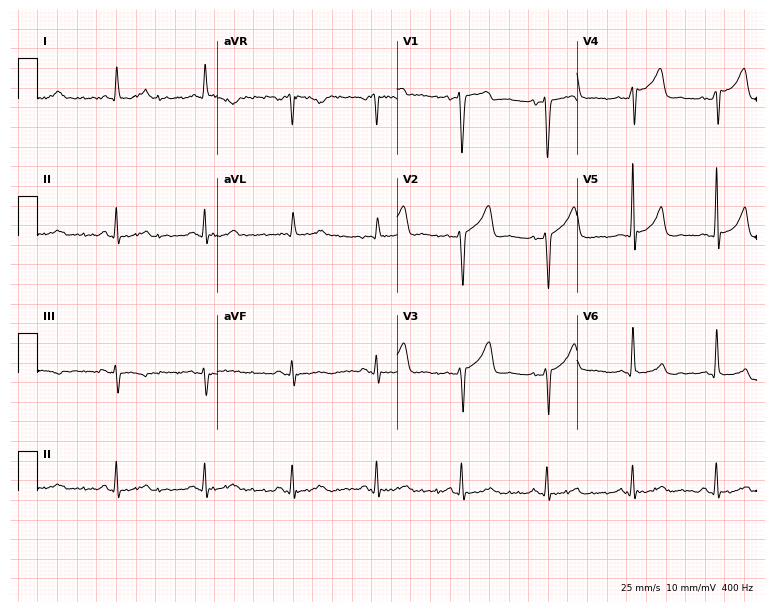
Electrocardiogram (7.3-second recording at 400 Hz), a 50-year-old male patient. Of the six screened findings (first-degree AV block, right bundle branch block, left bundle branch block, sinus bradycardia, atrial fibrillation, sinus tachycardia), none is recorded. Findings outside these six are not listed.